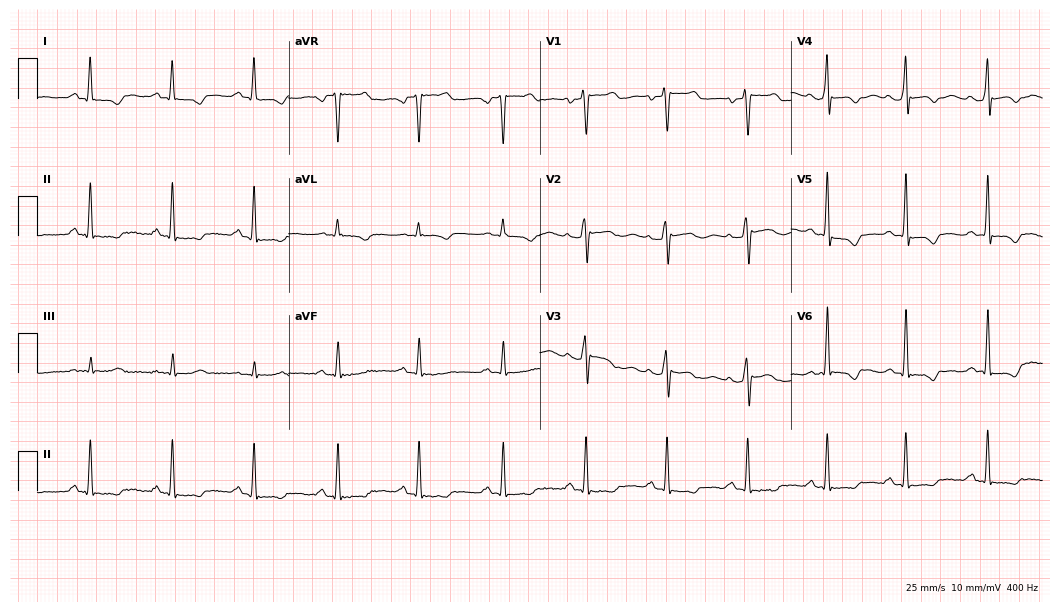
ECG (10.2-second recording at 400 Hz) — a male, 42 years old. Screened for six findings — first-degree AV block, right bundle branch block, left bundle branch block, sinus bradycardia, atrial fibrillation, sinus tachycardia — none is recorded.